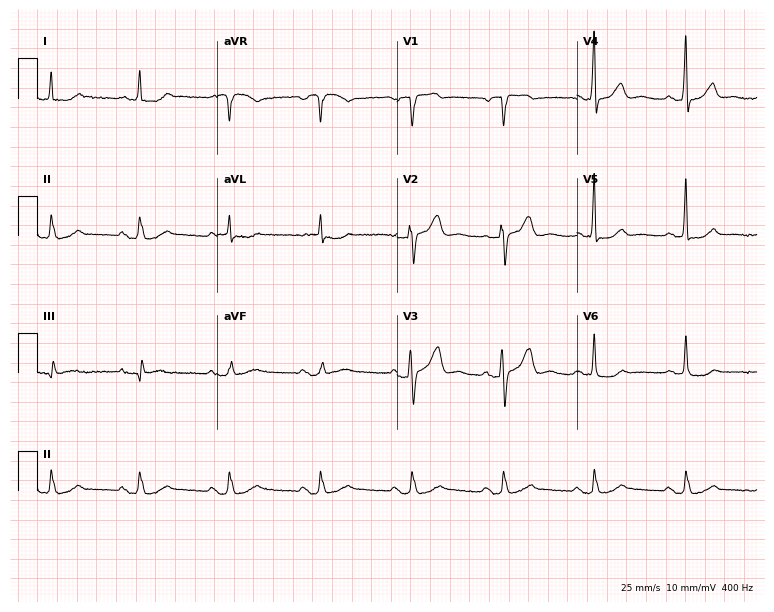
12-lead ECG from a 77-year-old male patient. Labelled as a normal ECG.